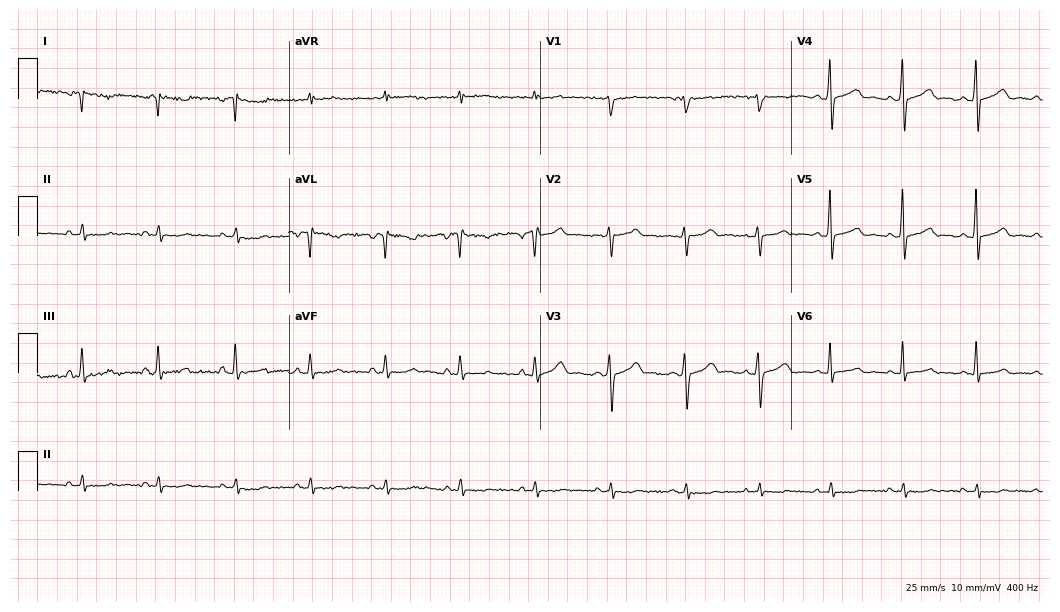
Resting 12-lead electrocardiogram (10.2-second recording at 400 Hz). Patient: a woman, 31 years old. None of these six findings is recorded: first-degree AV block, right bundle branch block (RBBB), left bundle branch block (LBBB), sinus bradycardia, atrial fibrillation (AF), sinus tachycardia. Only these six findings were labelled.